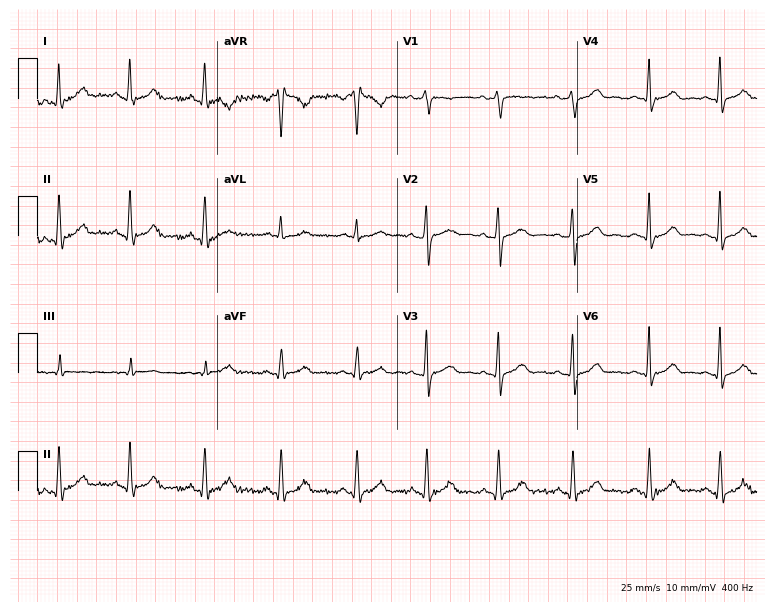
Standard 12-lead ECG recorded from a 20-year-old female patient. None of these six findings is recorded: first-degree AV block, right bundle branch block, left bundle branch block, sinus bradycardia, atrial fibrillation, sinus tachycardia.